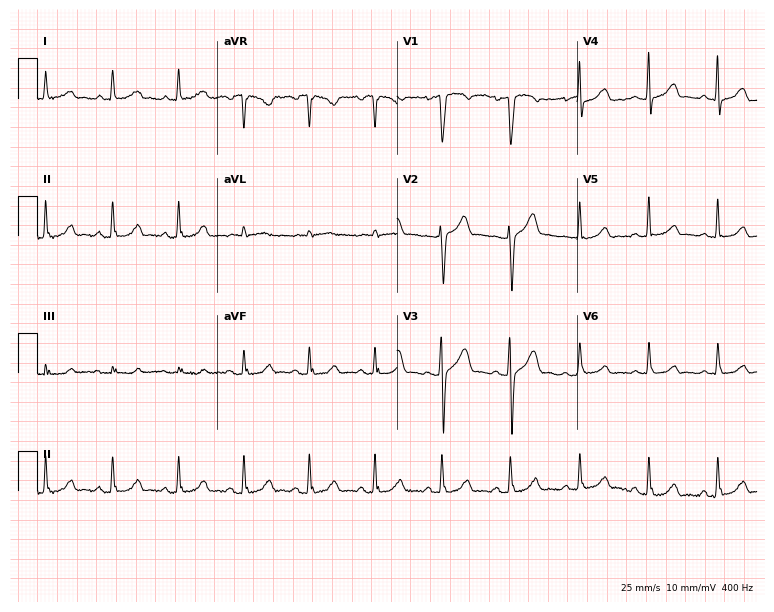
12-lead ECG (7.3-second recording at 400 Hz) from a man, 49 years old. Screened for six findings — first-degree AV block, right bundle branch block (RBBB), left bundle branch block (LBBB), sinus bradycardia, atrial fibrillation (AF), sinus tachycardia — none is recorded.